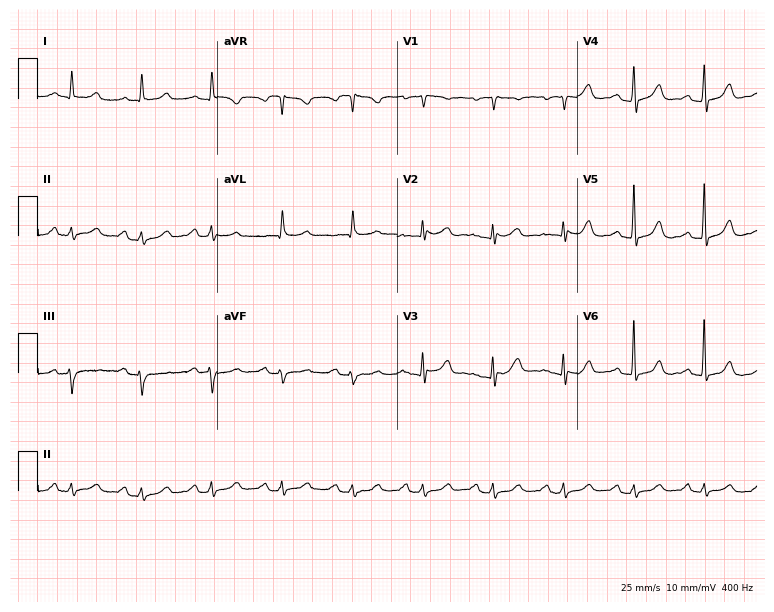
Resting 12-lead electrocardiogram (7.3-second recording at 400 Hz). Patient: a 61-year-old woman. Read as a normal ECG.